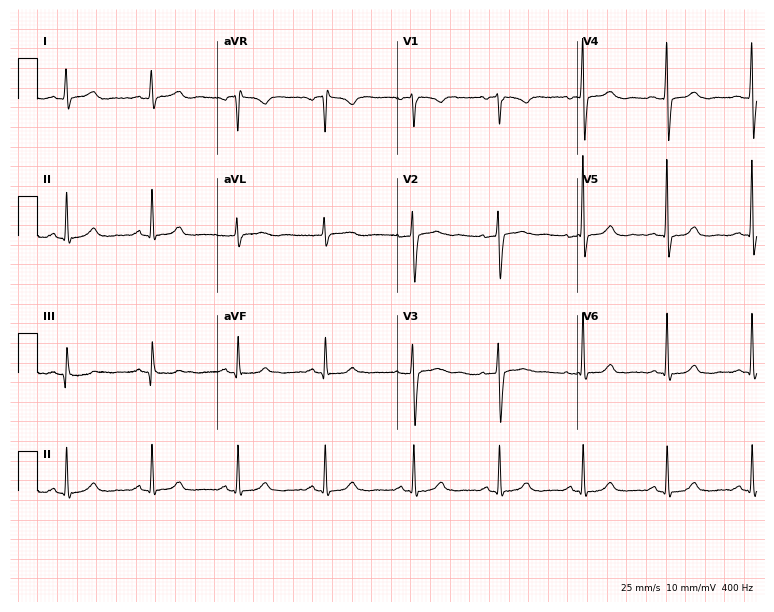
Electrocardiogram (7.3-second recording at 400 Hz), a 47-year-old woman. Overall reading on record: normal ECG.